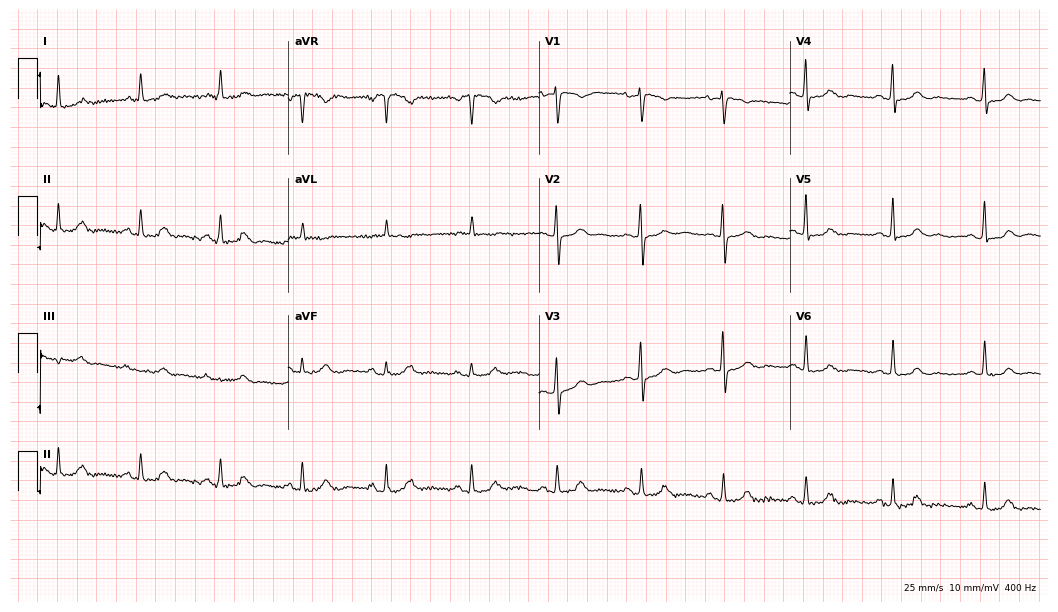
Standard 12-lead ECG recorded from a female patient, 53 years old (10.2-second recording at 400 Hz). None of these six findings is recorded: first-degree AV block, right bundle branch block, left bundle branch block, sinus bradycardia, atrial fibrillation, sinus tachycardia.